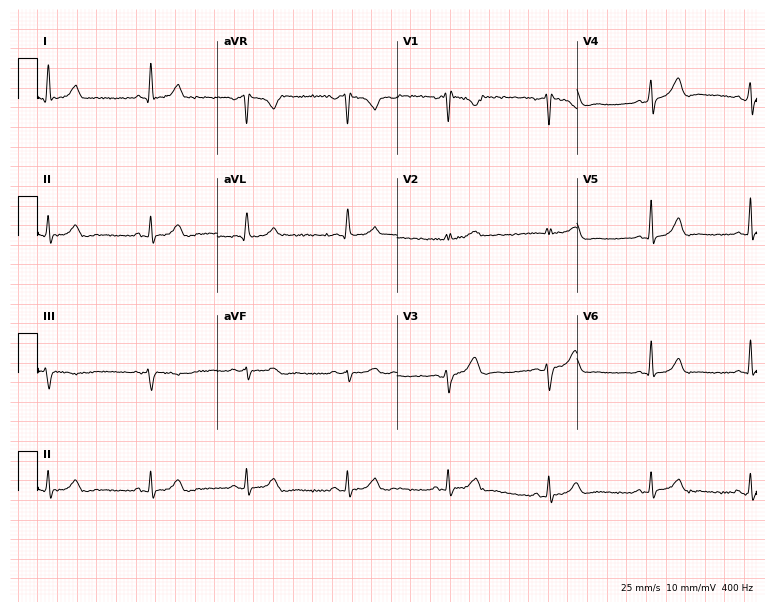
Resting 12-lead electrocardiogram (7.3-second recording at 400 Hz). Patient: a woman, 24 years old. None of these six findings is recorded: first-degree AV block, right bundle branch block, left bundle branch block, sinus bradycardia, atrial fibrillation, sinus tachycardia.